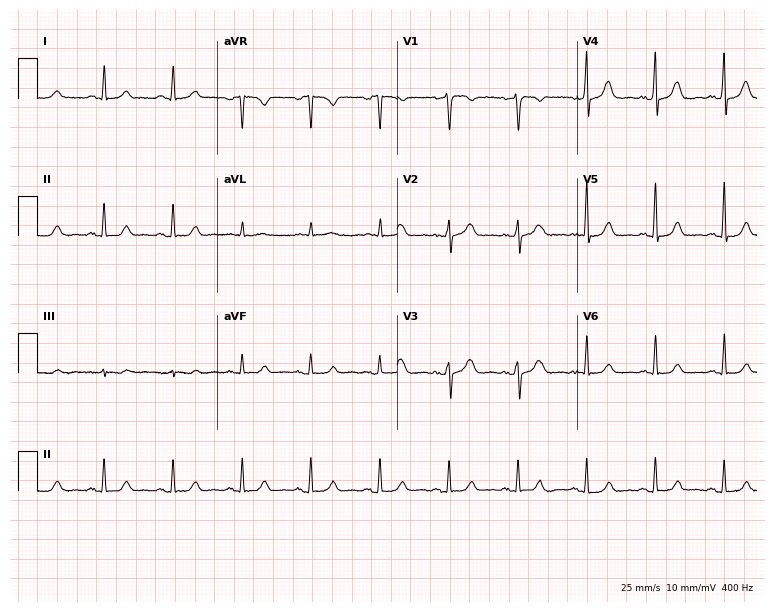
Resting 12-lead electrocardiogram. Patient: a 70-year-old female. Read as a normal ECG.